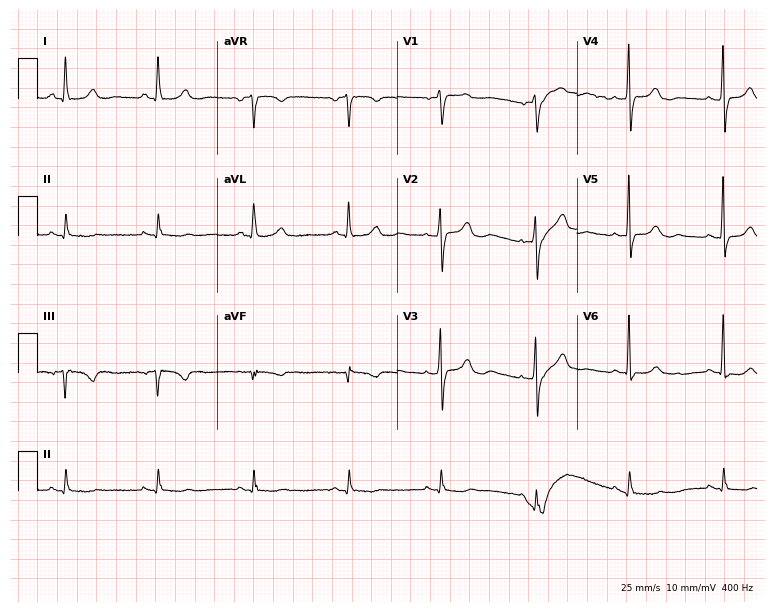
Resting 12-lead electrocardiogram. Patient: a 73-year-old woman. None of these six findings is recorded: first-degree AV block, right bundle branch block, left bundle branch block, sinus bradycardia, atrial fibrillation, sinus tachycardia.